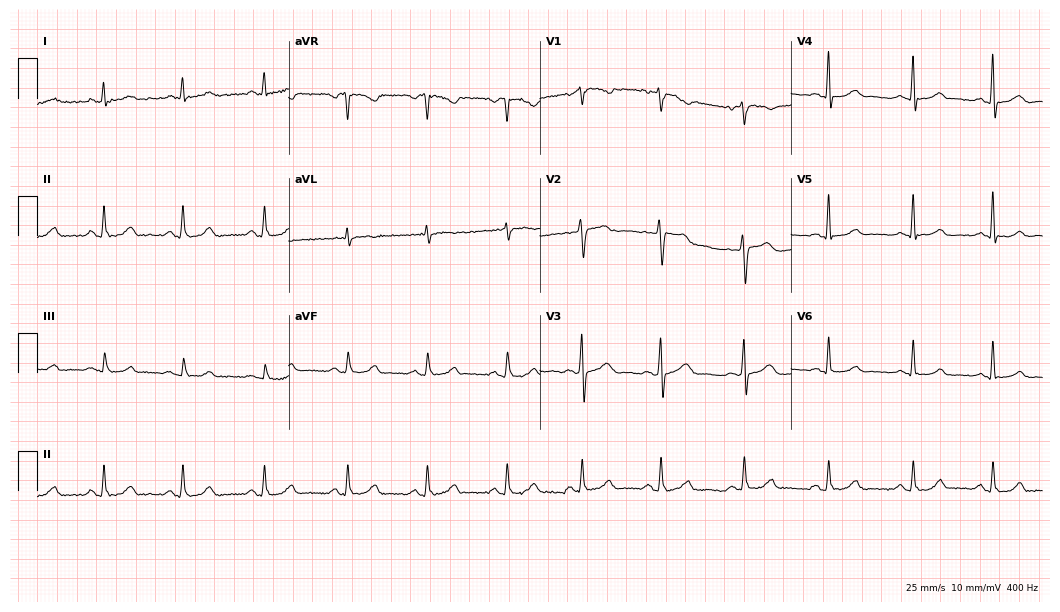
ECG (10.2-second recording at 400 Hz) — a female, 49 years old. Labelled as a normal ECG.